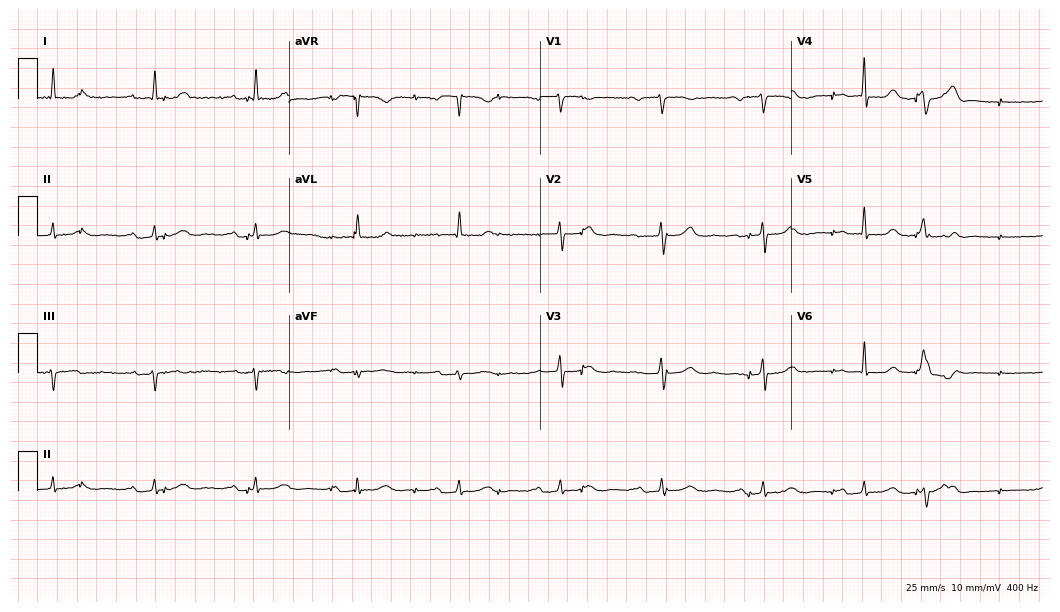
Standard 12-lead ECG recorded from a 77-year-old woman (10.2-second recording at 400 Hz). None of these six findings is recorded: first-degree AV block, right bundle branch block, left bundle branch block, sinus bradycardia, atrial fibrillation, sinus tachycardia.